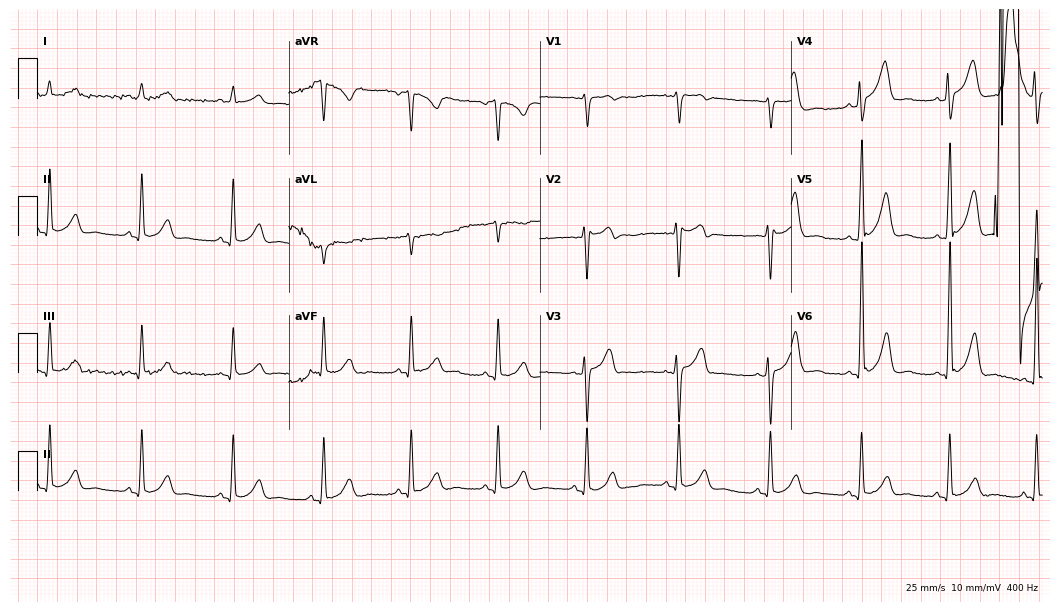
12-lead ECG (10.2-second recording at 400 Hz) from a 51-year-old male. Screened for six findings — first-degree AV block, right bundle branch block (RBBB), left bundle branch block (LBBB), sinus bradycardia, atrial fibrillation (AF), sinus tachycardia — none is recorded.